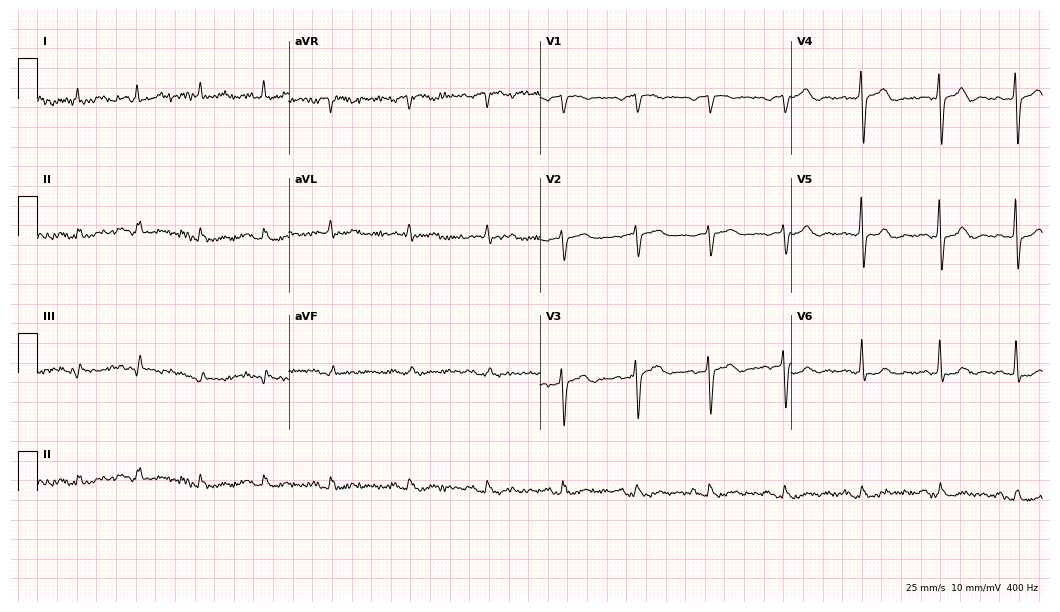
Resting 12-lead electrocardiogram. Patient: a male, 60 years old. None of these six findings is recorded: first-degree AV block, right bundle branch block, left bundle branch block, sinus bradycardia, atrial fibrillation, sinus tachycardia. Findings outside these six are not listed.